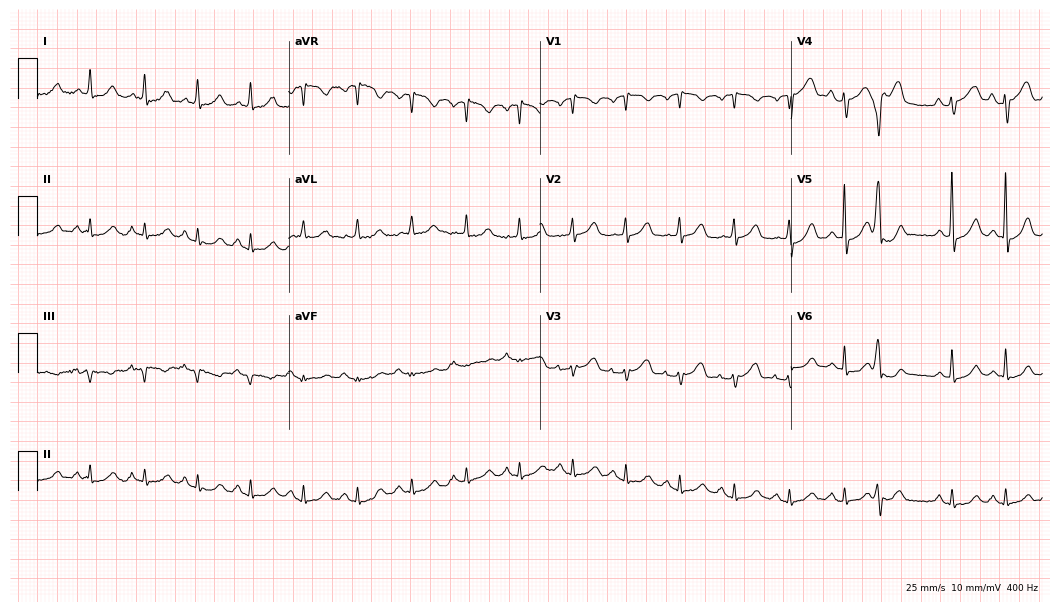
12-lead ECG from a female, 84 years old. No first-degree AV block, right bundle branch block, left bundle branch block, sinus bradycardia, atrial fibrillation or sinus tachycardia recorded for this tracing. Findings outside these six are not listed.